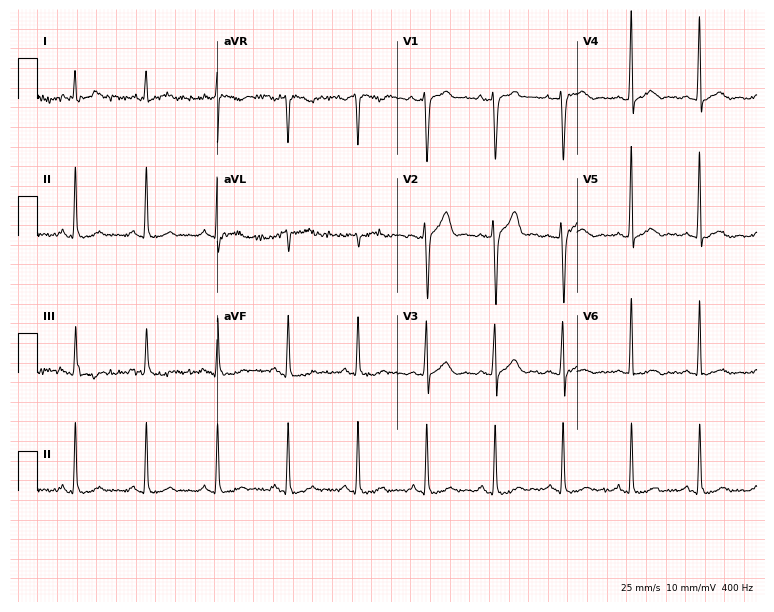
12-lead ECG from a 50-year-old man. Labelled as a normal ECG.